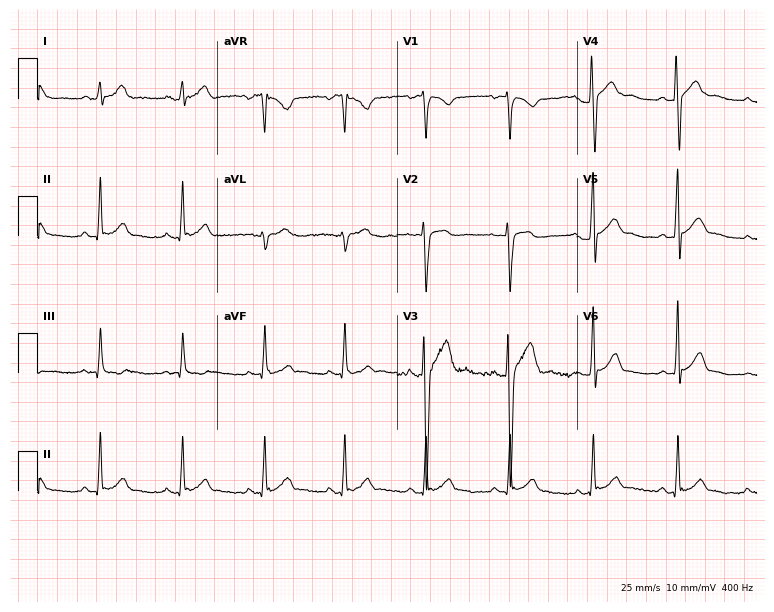
Electrocardiogram (7.3-second recording at 400 Hz), a male, 23 years old. Of the six screened findings (first-degree AV block, right bundle branch block, left bundle branch block, sinus bradycardia, atrial fibrillation, sinus tachycardia), none is recorded. Other findings, if any, are not listed.